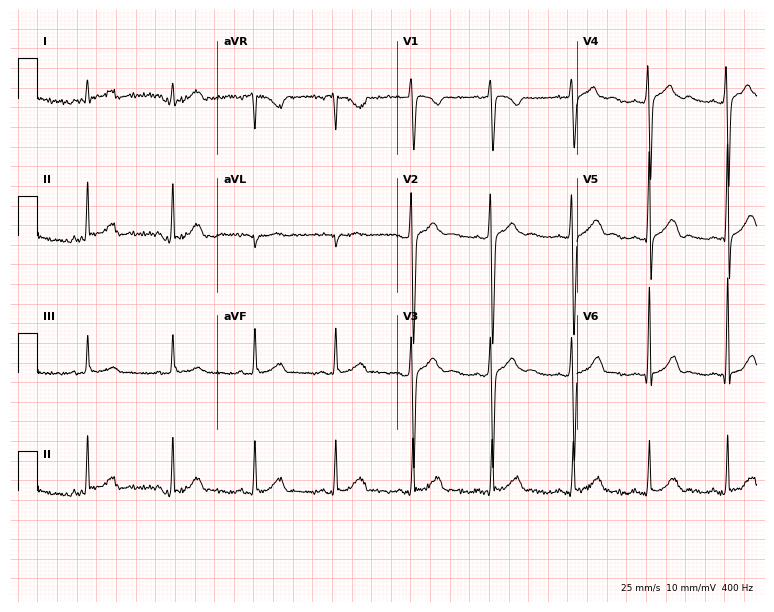
ECG — a male patient, 17 years old. Labelled as a normal ECG.